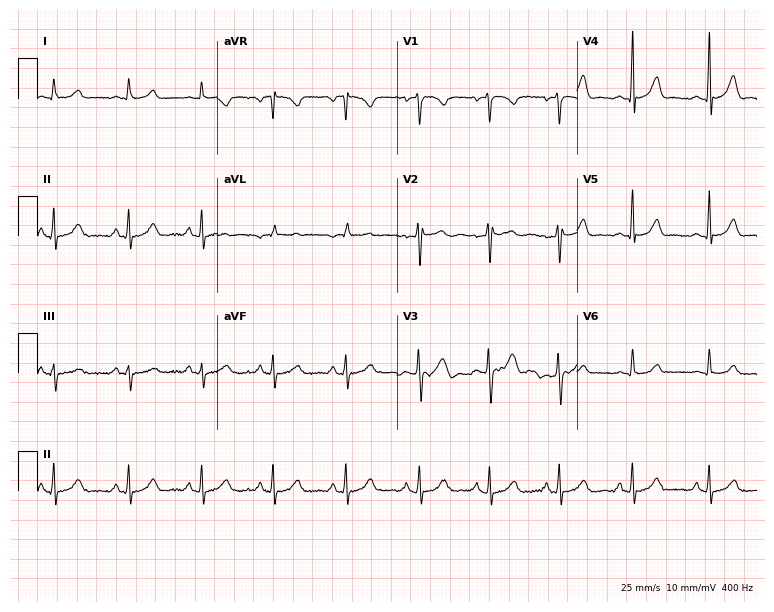
Electrocardiogram, a woman, 24 years old. Of the six screened findings (first-degree AV block, right bundle branch block, left bundle branch block, sinus bradycardia, atrial fibrillation, sinus tachycardia), none is recorded.